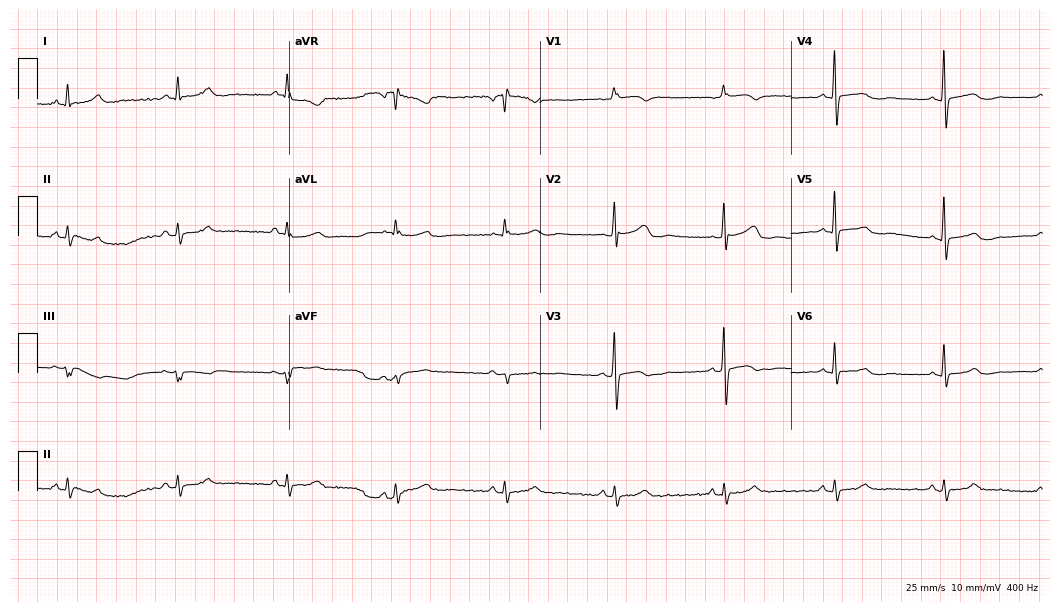
12-lead ECG from a 71-year-old female (10.2-second recording at 400 Hz). Recorded interpretation: within normal limits.